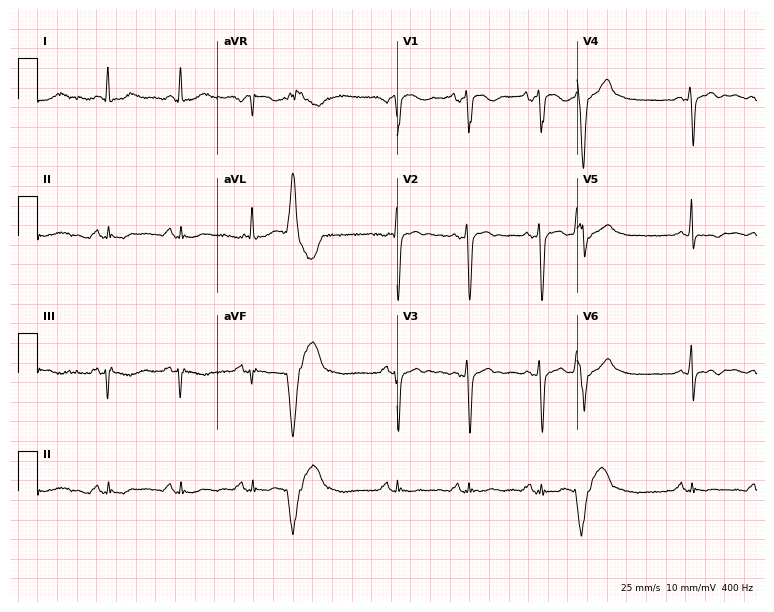
12-lead ECG from a 63-year-old female. Screened for six findings — first-degree AV block, right bundle branch block (RBBB), left bundle branch block (LBBB), sinus bradycardia, atrial fibrillation (AF), sinus tachycardia — none is recorded. Findings outside these six are not listed.